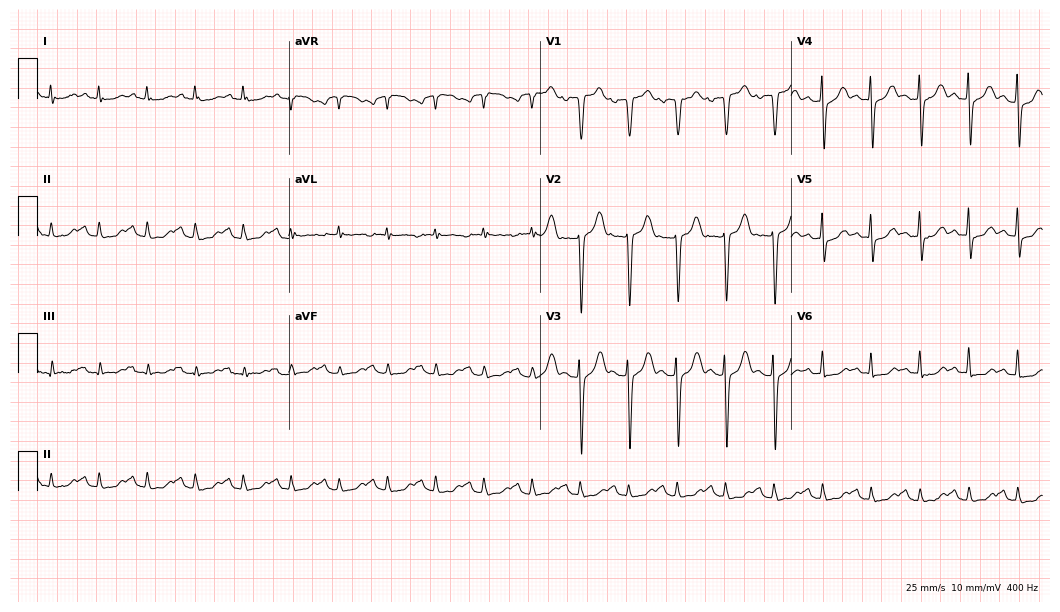
Electrocardiogram, a male, 67 years old. Of the six screened findings (first-degree AV block, right bundle branch block (RBBB), left bundle branch block (LBBB), sinus bradycardia, atrial fibrillation (AF), sinus tachycardia), none is recorded.